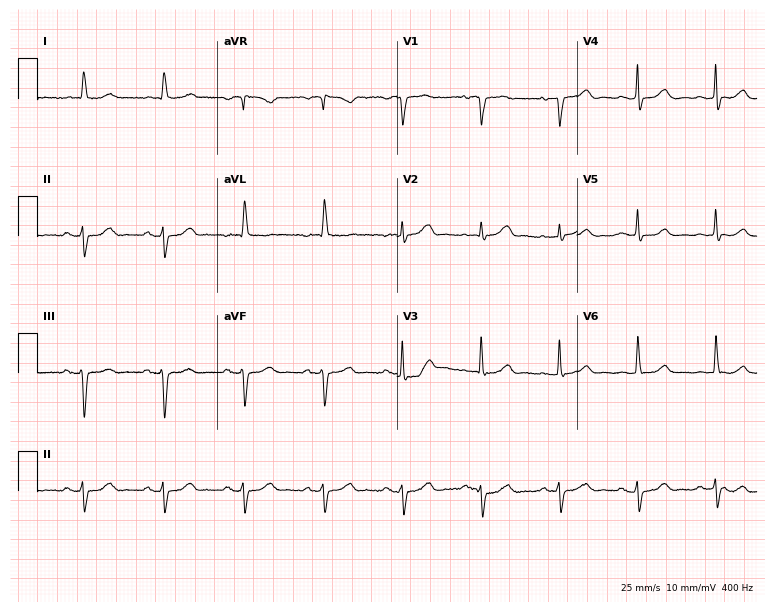
12-lead ECG (7.3-second recording at 400 Hz) from a female, 89 years old. Screened for six findings — first-degree AV block, right bundle branch block, left bundle branch block, sinus bradycardia, atrial fibrillation, sinus tachycardia — none is recorded. Other findings, if any, are not listed.